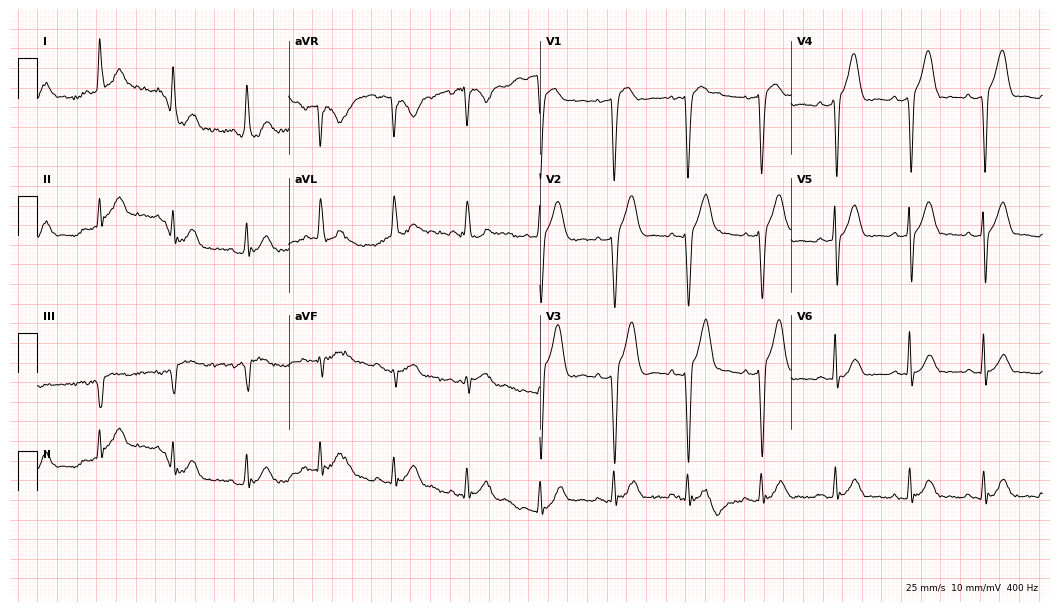
Standard 12-lead ECG recorded from a female patient, 78 years old (10.2-second recording at 400 Hz). None of these six findings is recorded: first-degree AV block, right bundle branch block, left bundle branch block, sinus bradycardia, atrial fibrillation, sinus tachycardia. Other findings, if any, are not listed.